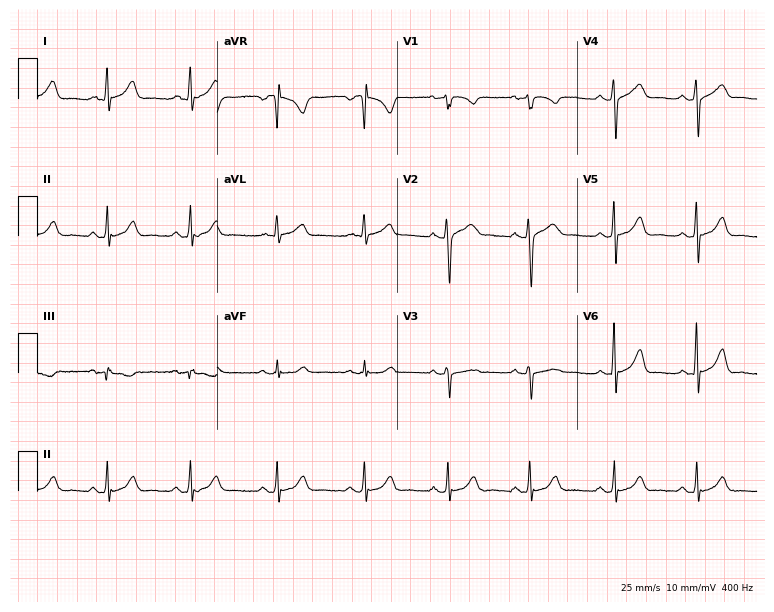
Standard 12-lead ECG recorded from a female, 36 years old (7.3-second recording at 400 Hz). Read as a normal ECG.